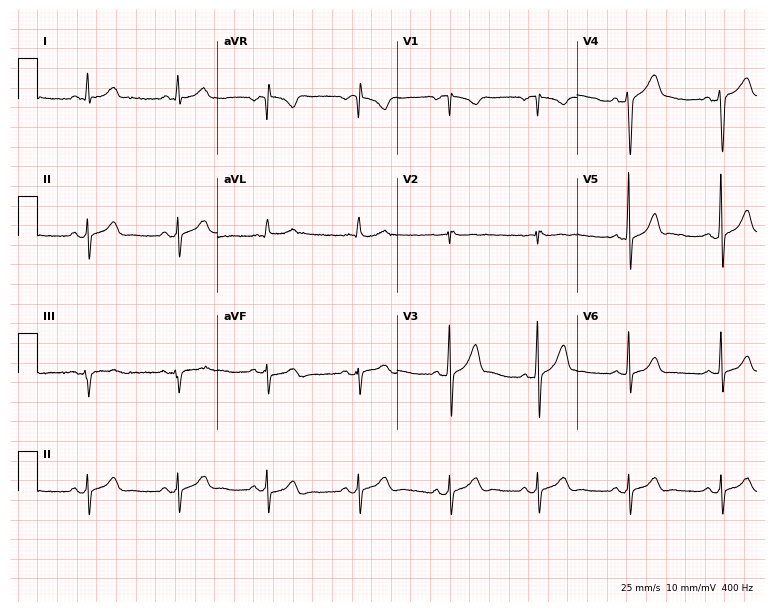
12-lead ECG from a 60-year-old man. Screened for six findings — first-degree AV block, right bundle branch block, left bundle branch block, sinus bradycardia, atrial fibrillation, sinus tachycardia — none is recorded.